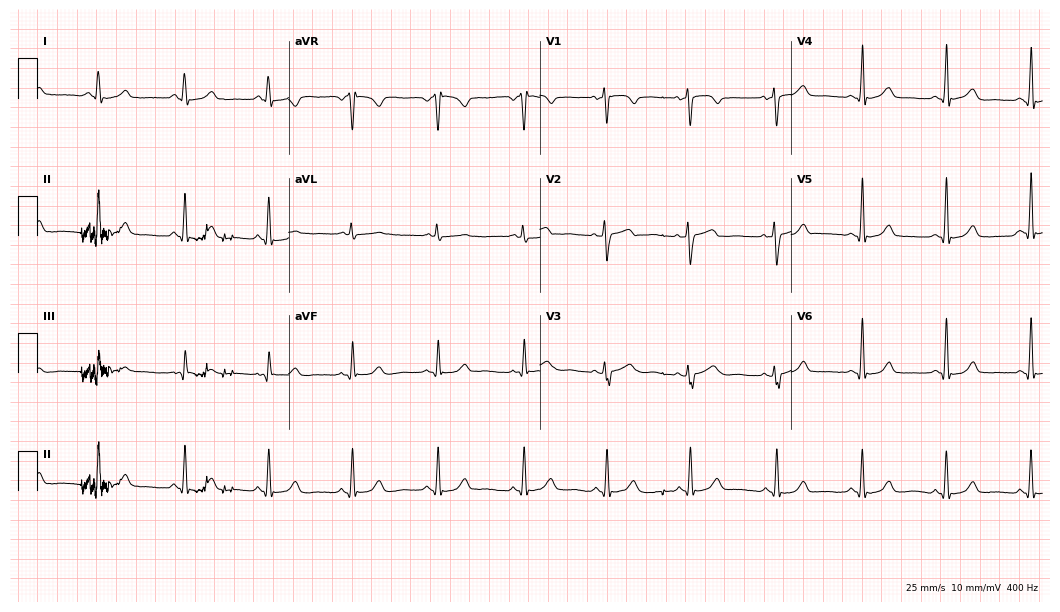
Electrocardiogram, a 53-year-old female patient. Overall reading on record: normal ECG.